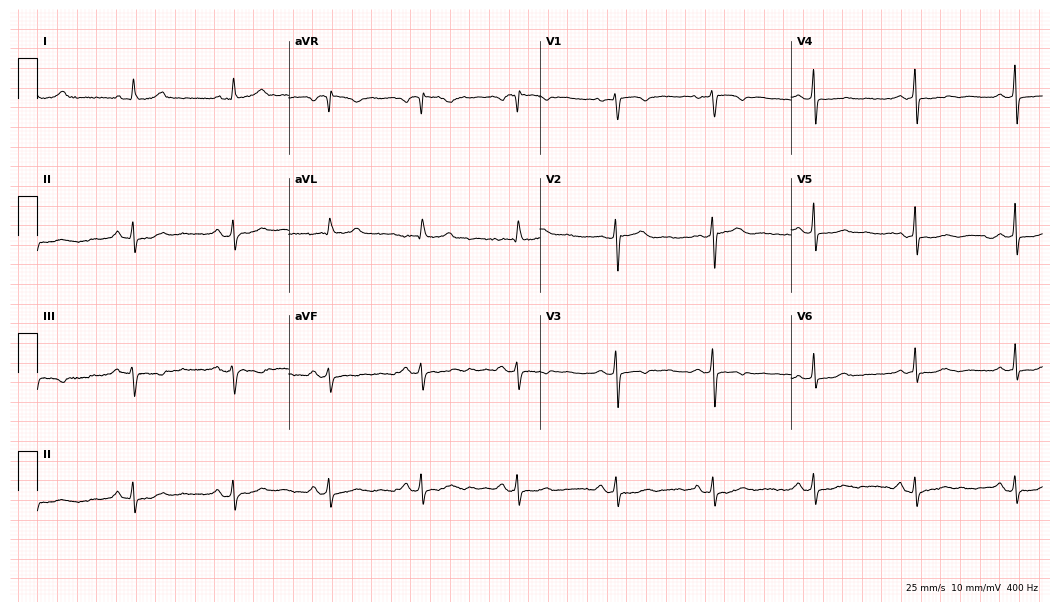
Resting 12-lead electrocardiogram. Patient: a female, 53 years old. Read as a normal ECG.